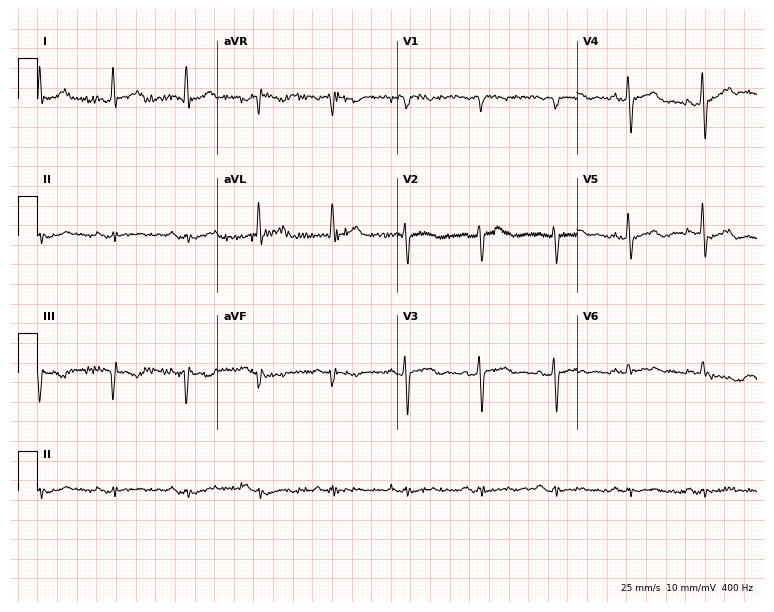
Standard 12-lead ECG recorded from a 67-year-old male patient (7.3-second recording at 400 Hz). Read as a normal ECG.